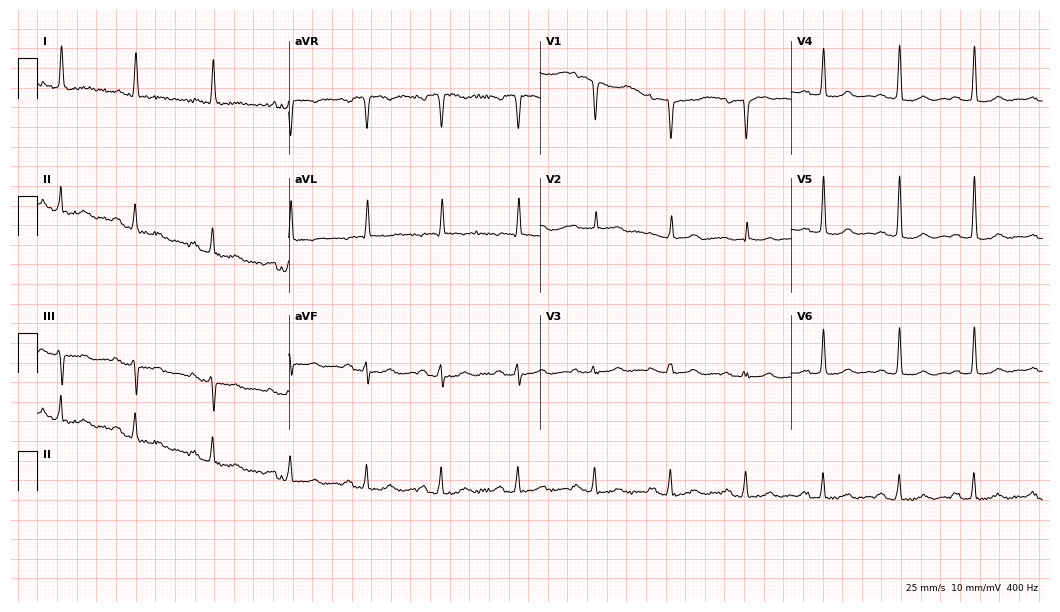
Standard 12-lead ECG recorded from a female, 71 years old (10.2-second recording at 400 Hz). Read as a normal ECG.